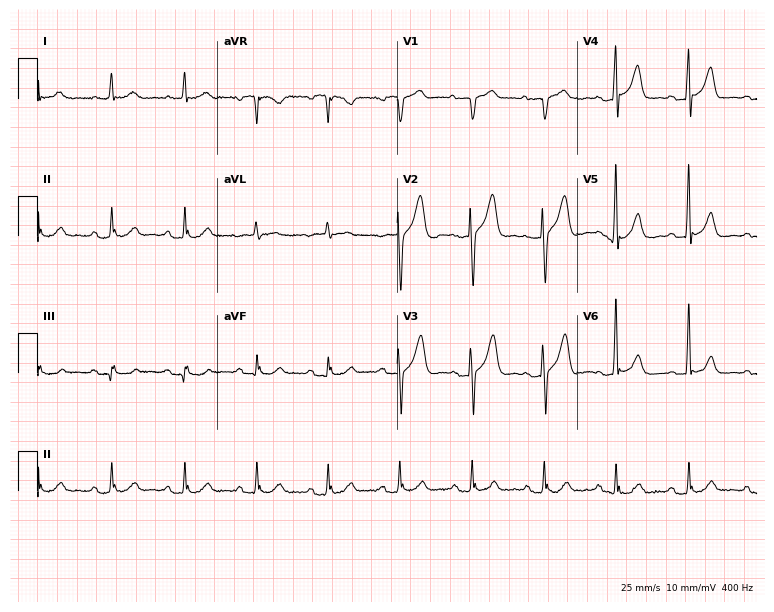
ECG — a male, 79 years old. Labelled as a normal ECG.